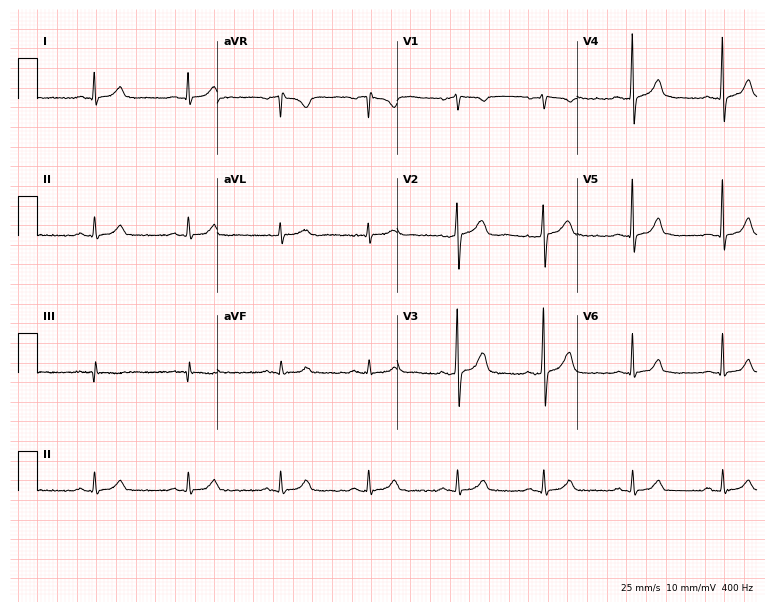
12-lead ECG from a male patient, 44 years old. Recorded interpretation: within normal limits.